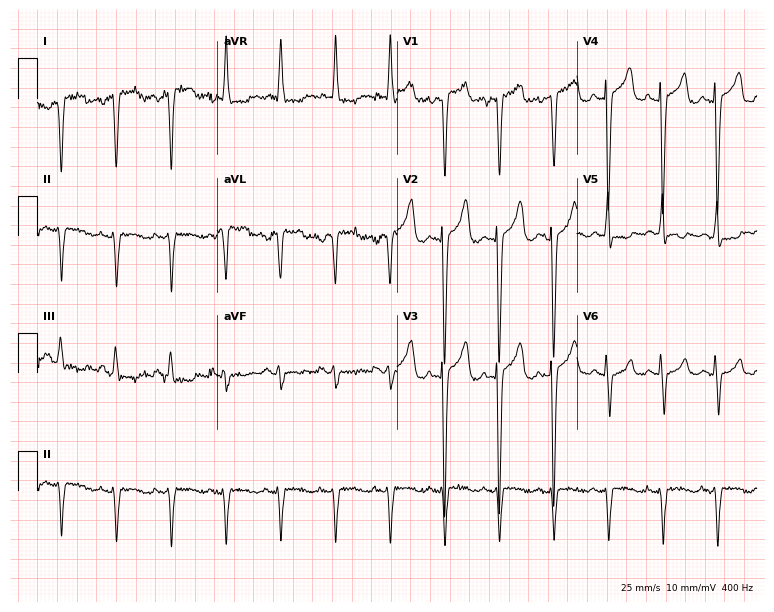
Resting 12-lead electrocardiogram. Patient: a 66-year-old woman. None of these six findings is recorded: first-degree AV block, right bundle branch block (RBBB), left bundle branch block (LBBB), sinus bradycardia, atrial fibrillation (AF), sinus tachycardia. Other findings, if any, are not listed.